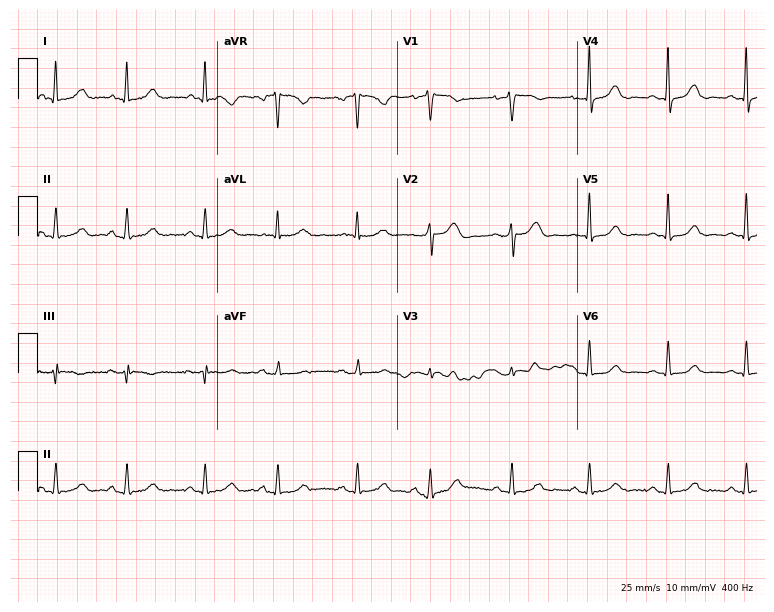
Resting 12-lead electrocardiogram. Patient: a 65-year-old woman. Read as a normal ECG.